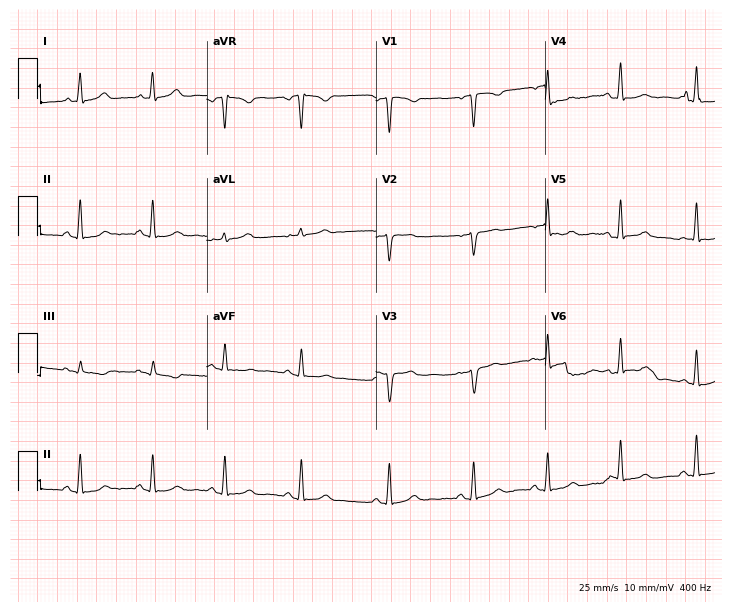
Resting 12-lead electrocardiogram. Patient: a female, 25 years old. None of these six findings is recorded: first-degree AV block, right bundle branch block, left bundle branch block, sinus bradycardia, atrial fibrillation, sinus tachycardia.